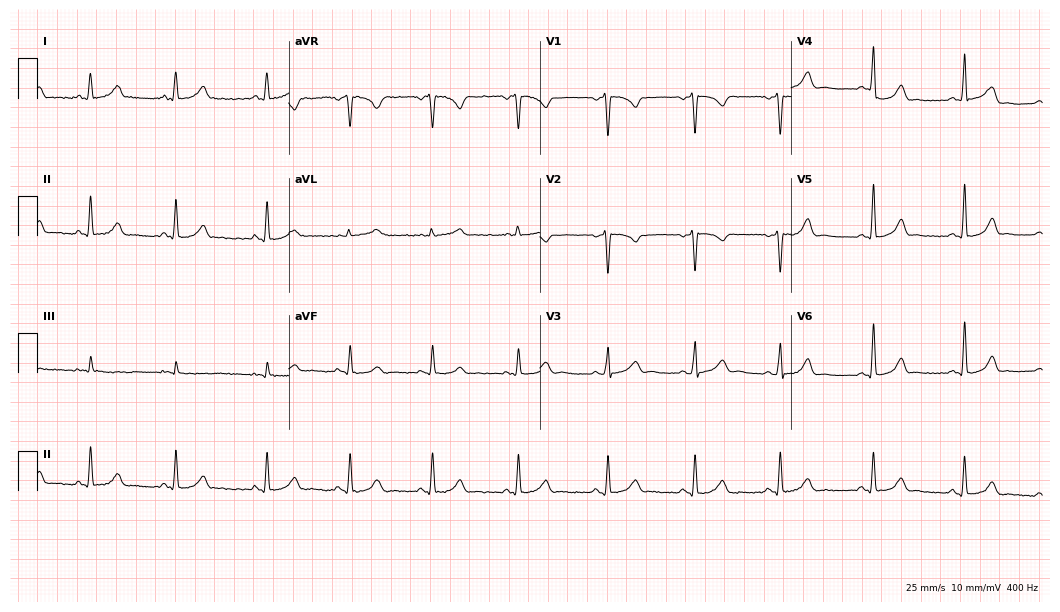
12-lead ECG from a 34-year-old female patient. Labelled as a normal ECG.